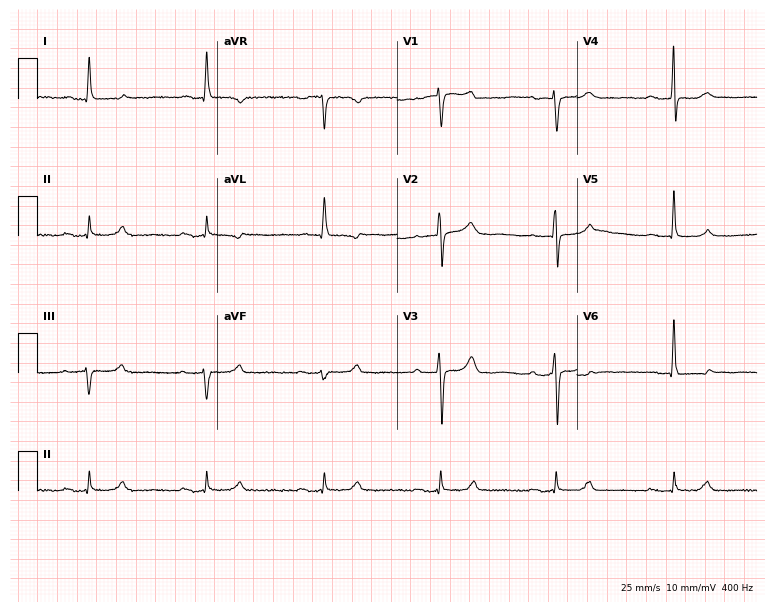
Electrocardiogram, a woman, 75 years old. Interpretation includes first-degree AV block, sinus bradycardia (a sinus rate of 50 beats per minute or less).